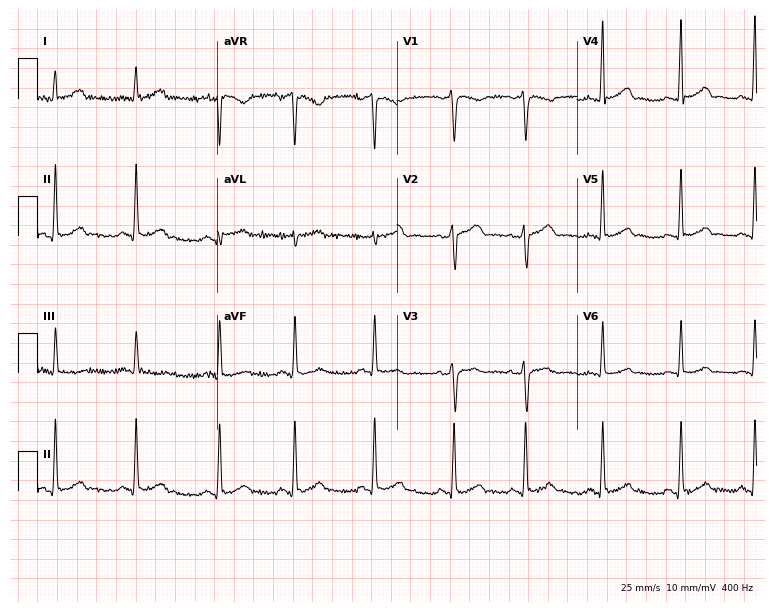
Electrocardiogram, a 38-year-old female. Of the six screened findings (first-degree AV block, right bundle branch block, left bundle branch block, sinus bradycardia, atrial fibrillation, sinus tachycardia), none is recorded.